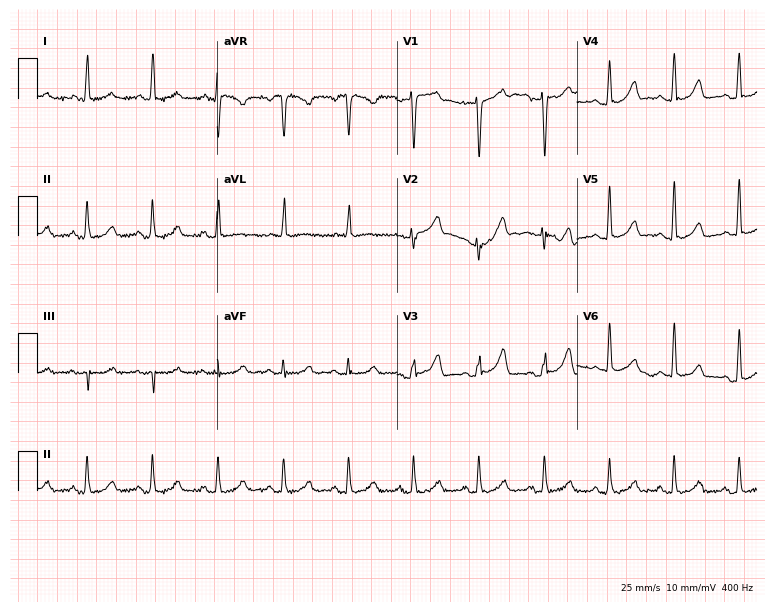
12-lead ECG from a 58-year-old female patient. Labelled as a normal ECG.